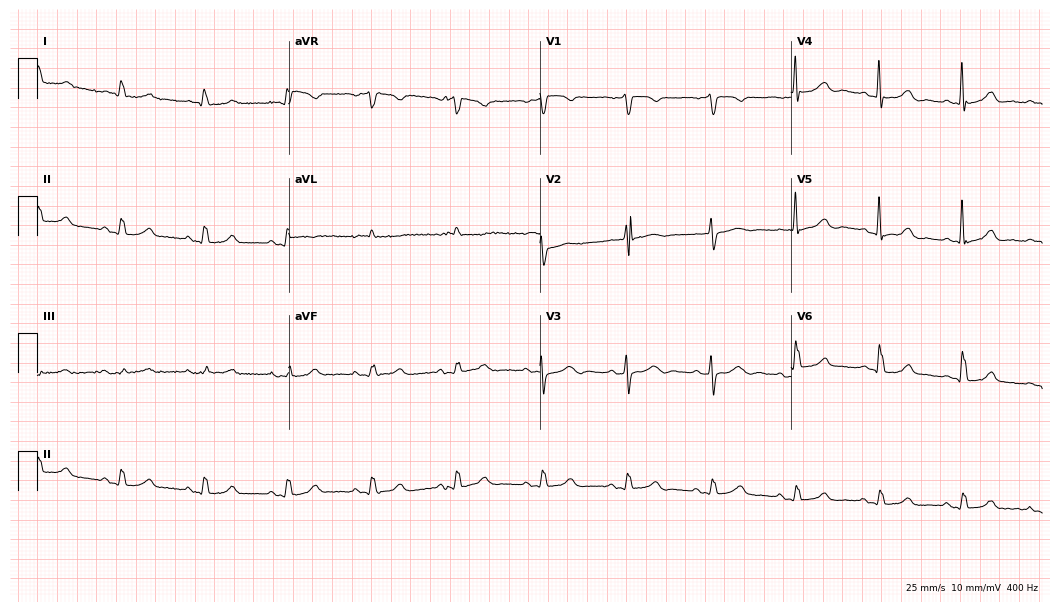
12-lead ECG from an 84-year-old female (10.2-second recording at 400 Hz). Recorded interpretation: within normal limits.